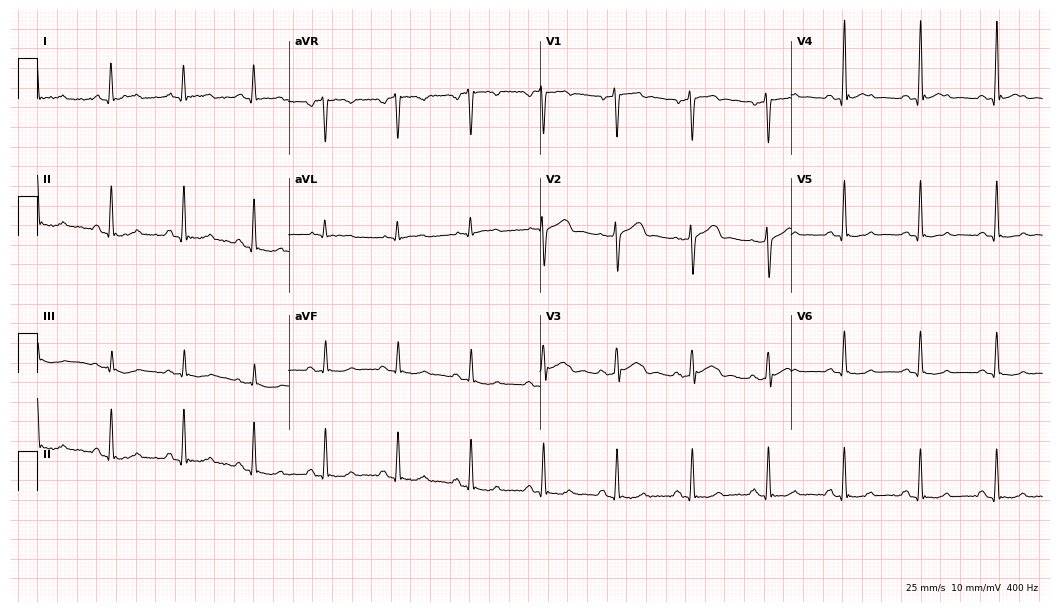
ECG — a male patient, 64 years old. Screened for six findings — first-degree AV block, right bundle branch block, left bundle branch block, sinus bradycardia, atrial fibrillation, sinus tachycardia — none is recorded.